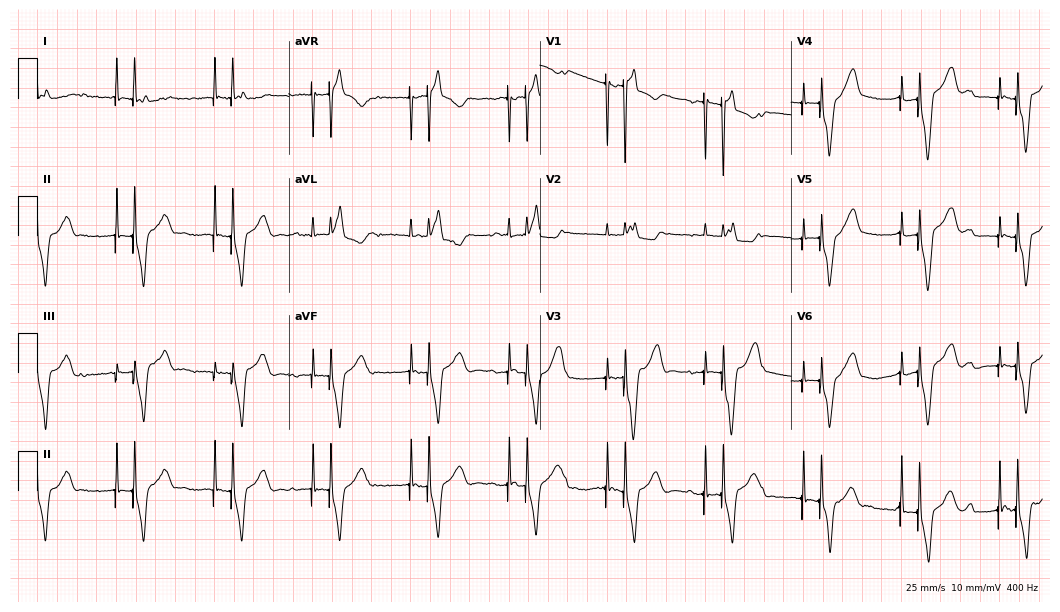
Standard 12-lead ECG recorded from an 83-year-old male. None of these six findings is recorded: first-degree AV block, right bundle branch block, left bundle branch block, sinus bradycardia, atrial fibrillation, sinus tachycardia.